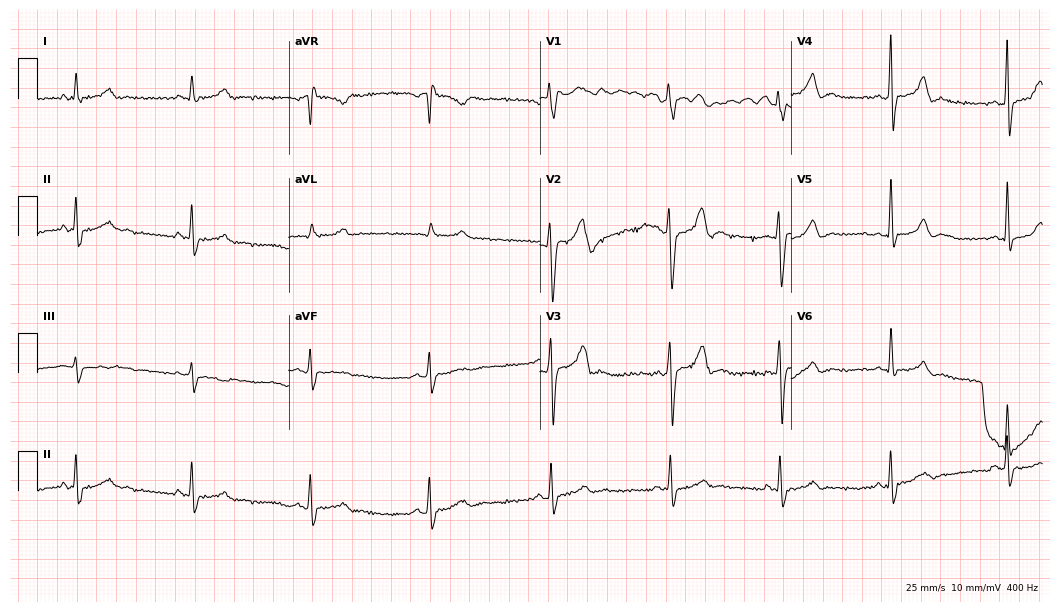
12-lead ECG from a man, 60 years old. No first-degree AV block, right bundle branch block, left bundle branch block, sinus bradycardia, atrial fibrillation or sinus tachycardia recorded for this tracing. Other findings, if any, are not listed.